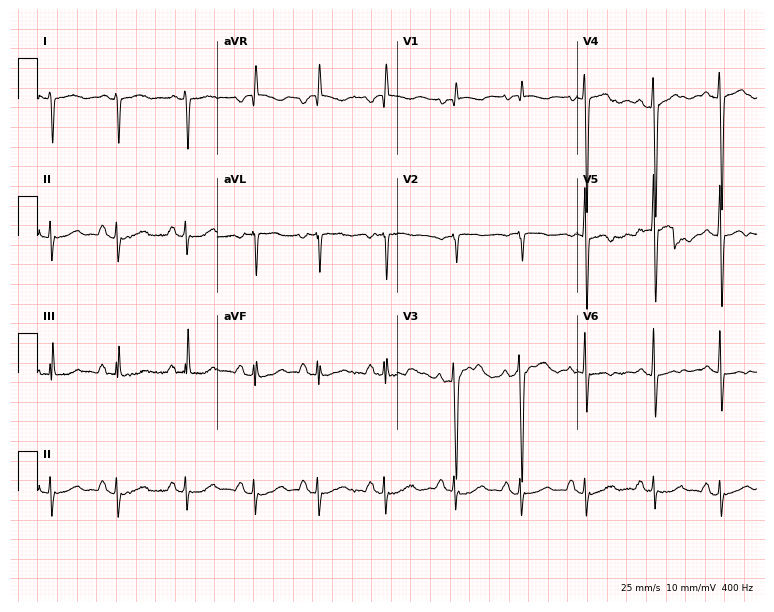
Standard 12-lead ECG recorded from a female, 76 years old. None of these six findings is recorded: first-degree AV block, right bundle branch block (RBBB), left bundle branch block (LBBB), sinus bradycardia, atrial fibrillation (AF), sinus tachycardia. Other findings, if any, are not listed.